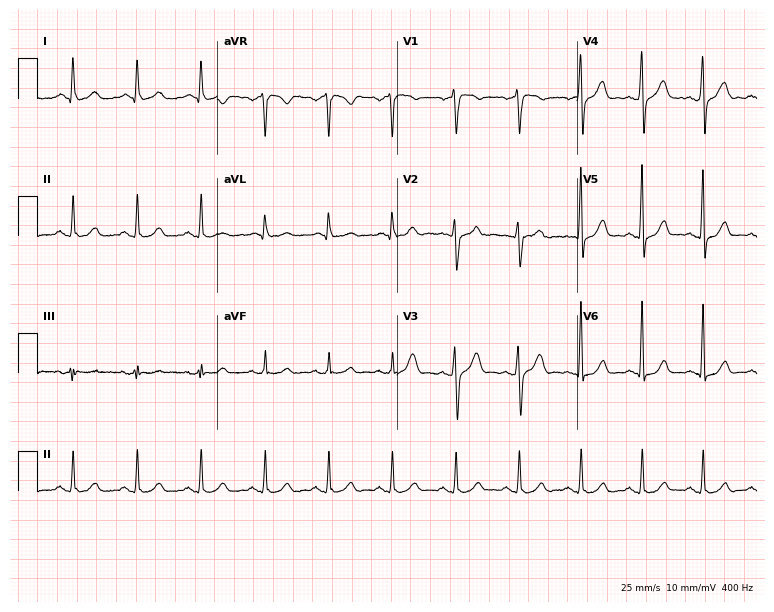
Standard 12-lead ECG recorded from a 42-year-old man. None of these six findings is recorded: first-degree AV block, right bundle branch block, left bundle branch block, sinus bradycardia, atrial fibrillation, sinus tachycardia. Other findings, if any, are not listed.